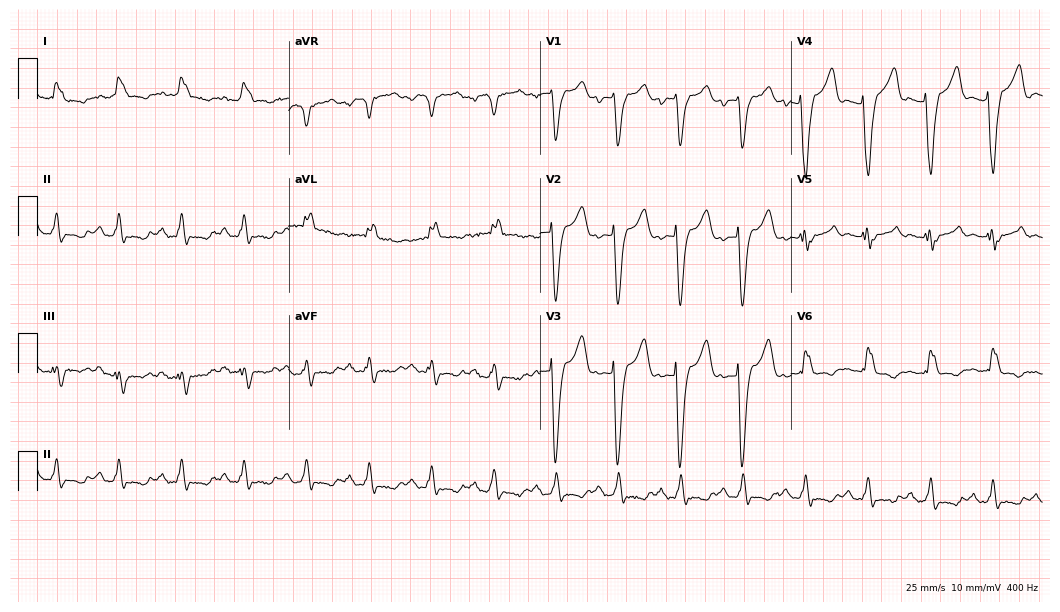
Resting 12-lead electrocardiogram (10.2-second recording at 400 Hz). Patient: a 47-year-old female. The tracing shows left bundle branch block.